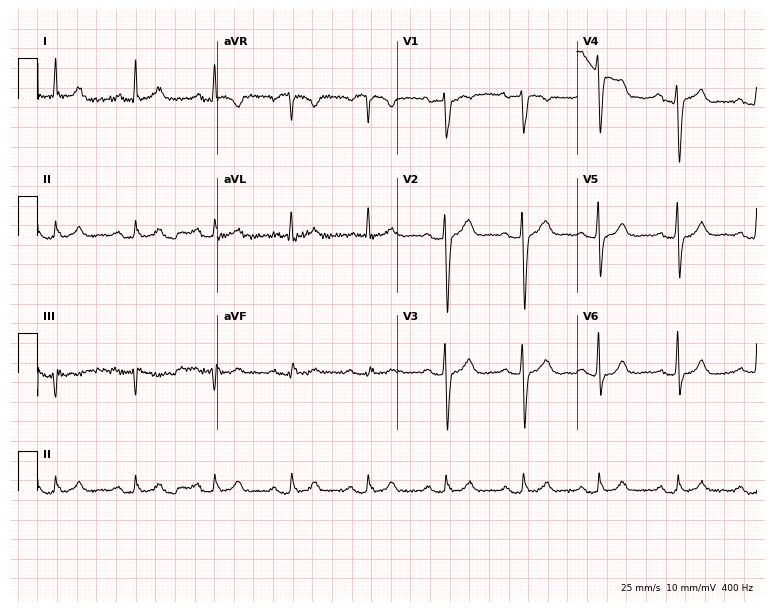
Electrocardiogram (7.3-second recording at 400 Hz), a male patient, 68 years old. Overall reading on record: normal ECG.